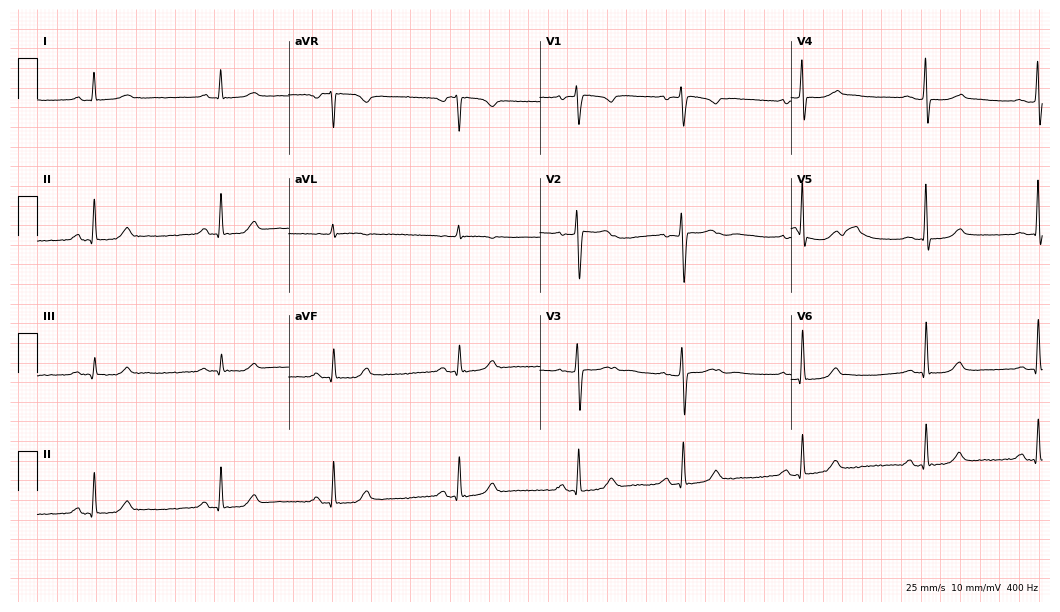
Standard 12-lead ECG recorded from a female, 38 years old (10.2-second recording at 400 Hz). Read as a normal ECG.